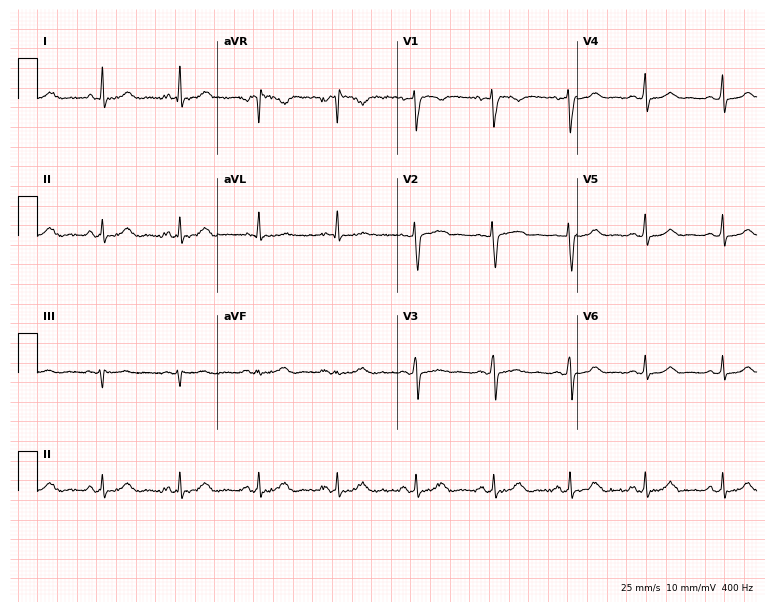
12-lead ECG from a 34-year-old woman. Recorded interpretation: within normal limits.